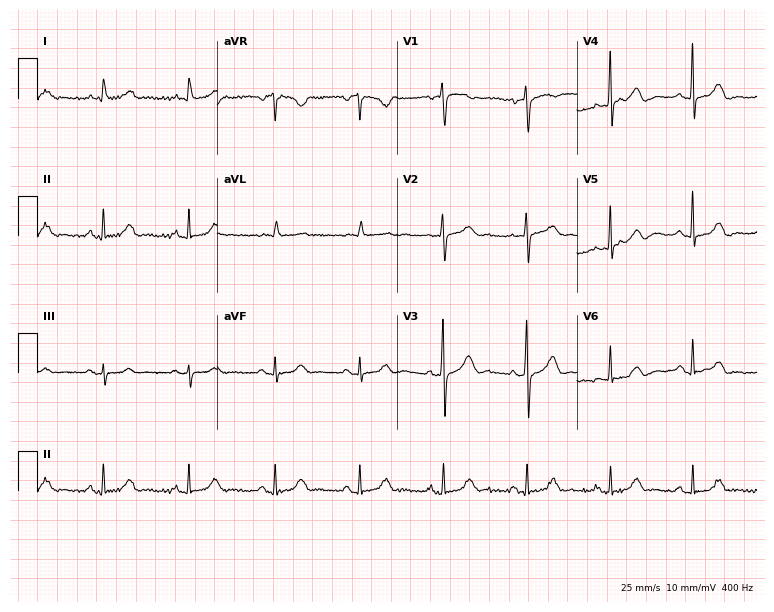
Electrocardiogram, a 65-year-old female. Overall reading on record: normal ECG.